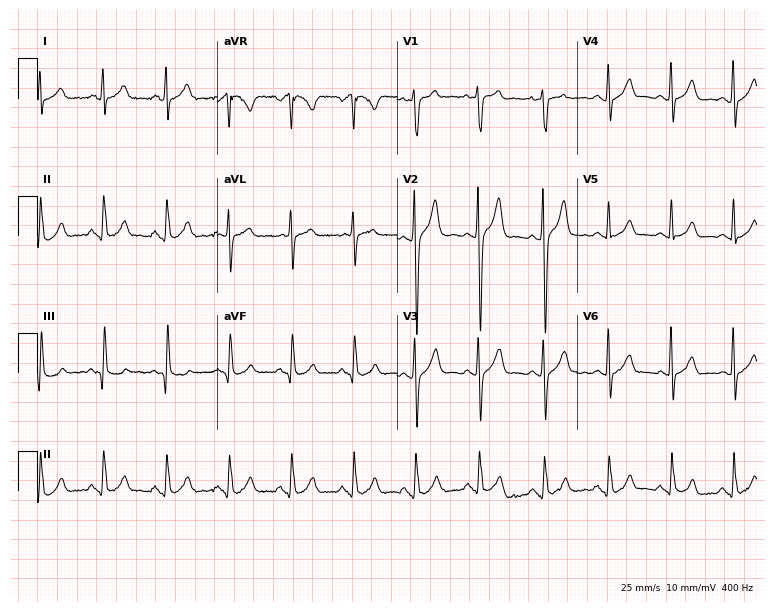
Electrocardiogram (7.3-second recording at 400 Hz), a male patient, 19 years old. Overall reading on record: normal ECG.